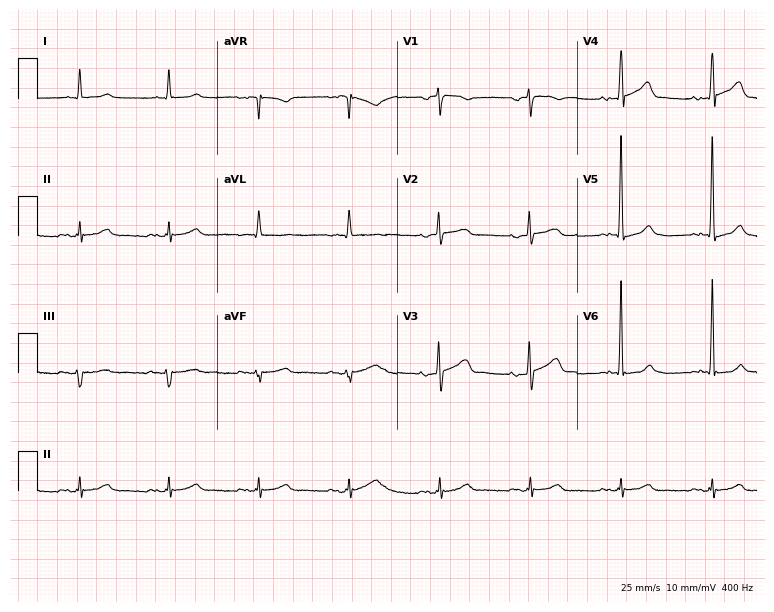
Electrocardiogram, a male, 83 years old. Overall reading on record: normal ECG.